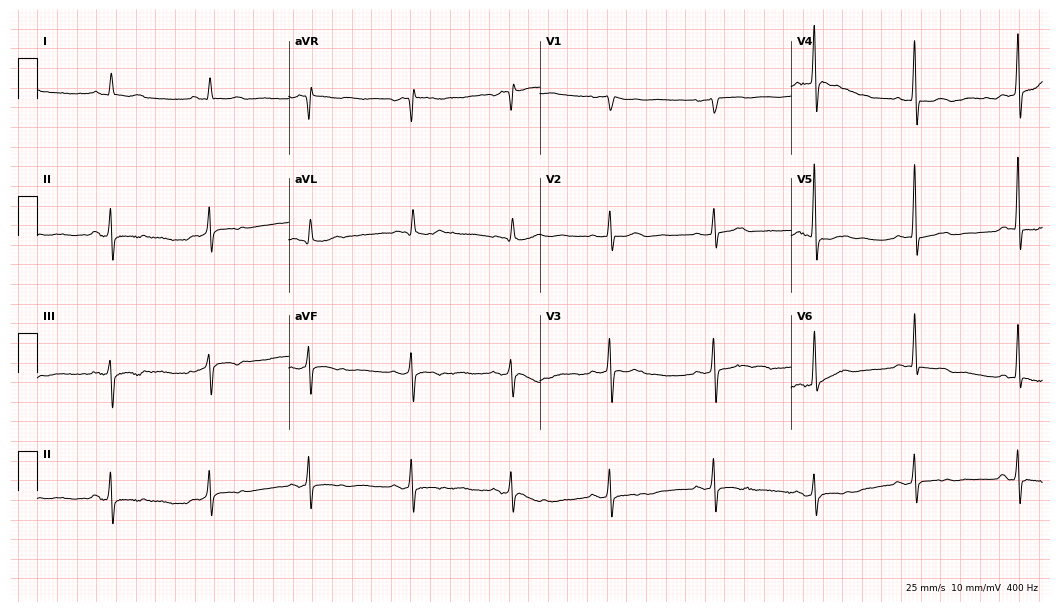
12-lead ECG from an 84-year-old man. Screened for six findings — first-degree AV block, right bundle branch block (RBBB), left bundle branch block (LBBB), sinus bradycardia, atrial fibrillation (AF), sinus tachycardia — none is recorded. Other findings, if any, are not listed.